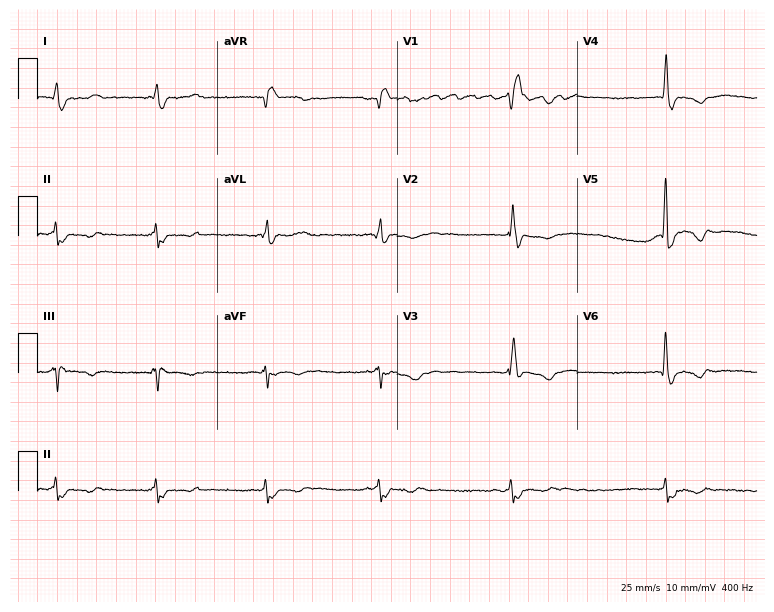
Resting 12-lead electrocardiogram. Patient: a female, 81 years old. The tracing shows right bundle branch block, atrial fibrillation.